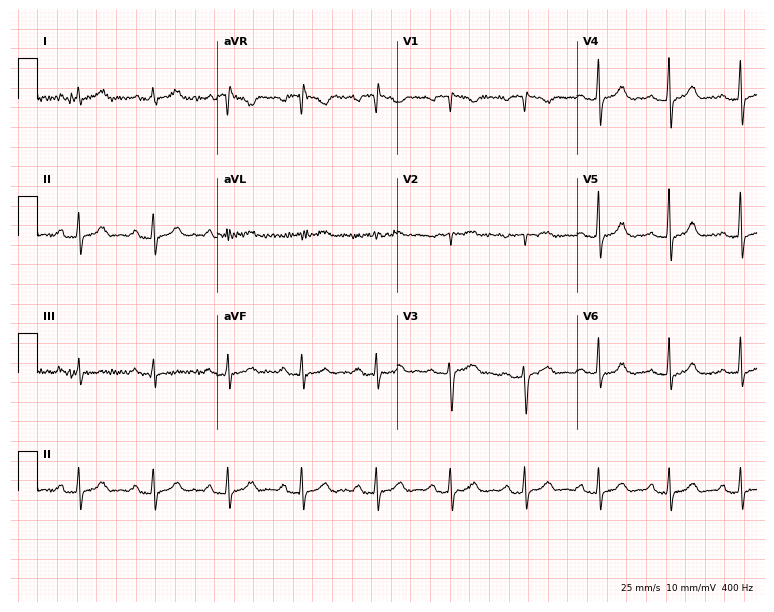
Resting 12-lead electrocardiogram (7.3-second recording at 400 Hz). Patient: a female, 60 years old. The tracing shows first-degree AV block.